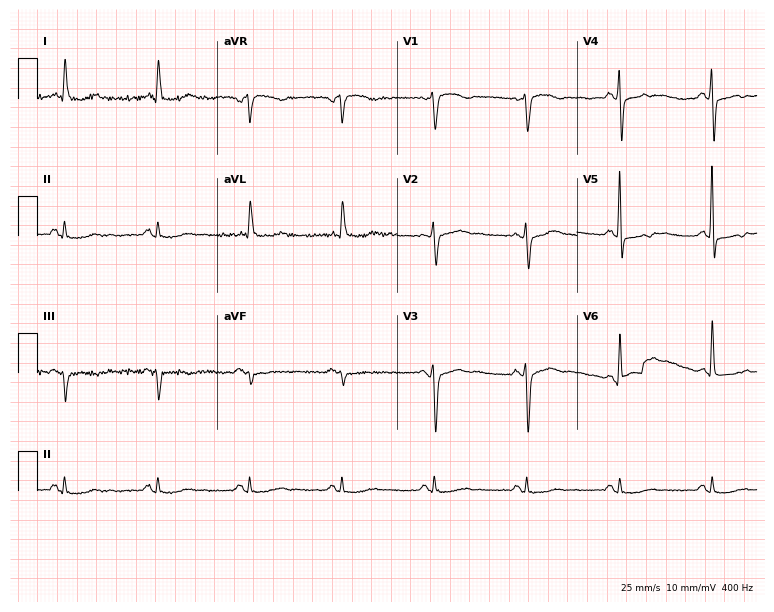
Resting 12-lead electrocardiogram (7.3-second recording at 400 Hz). Patient: a man, 83 years old. None of these six findings is recorded: first-degree AV block, right bundle branch block (RBBB), left bundle branch block (LBBB), sinus bradycardia, atrial fibrillation (AF), sinus tachycardia. Only these six findings were labelled.